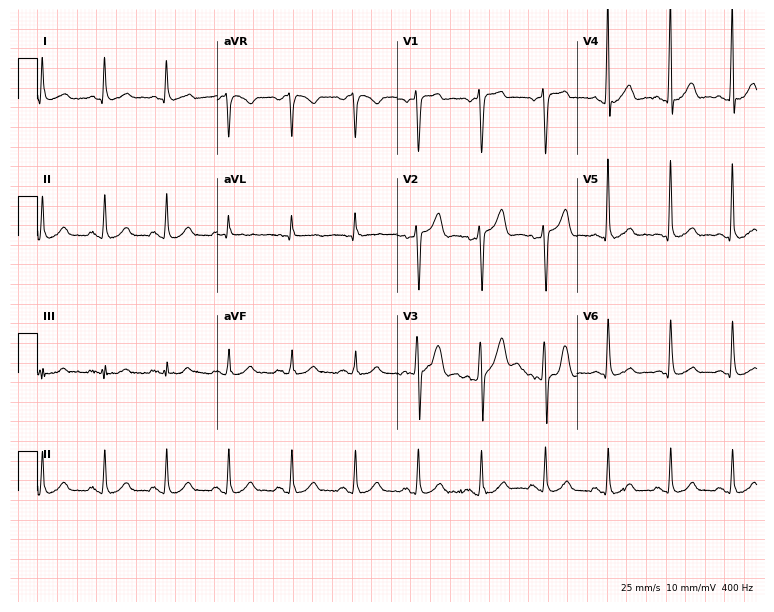
Resting 12-lead electrocardiogram (7.3-second recording at 400 Hz). Patient: a 57-year-old man. Read as a normal ECG.